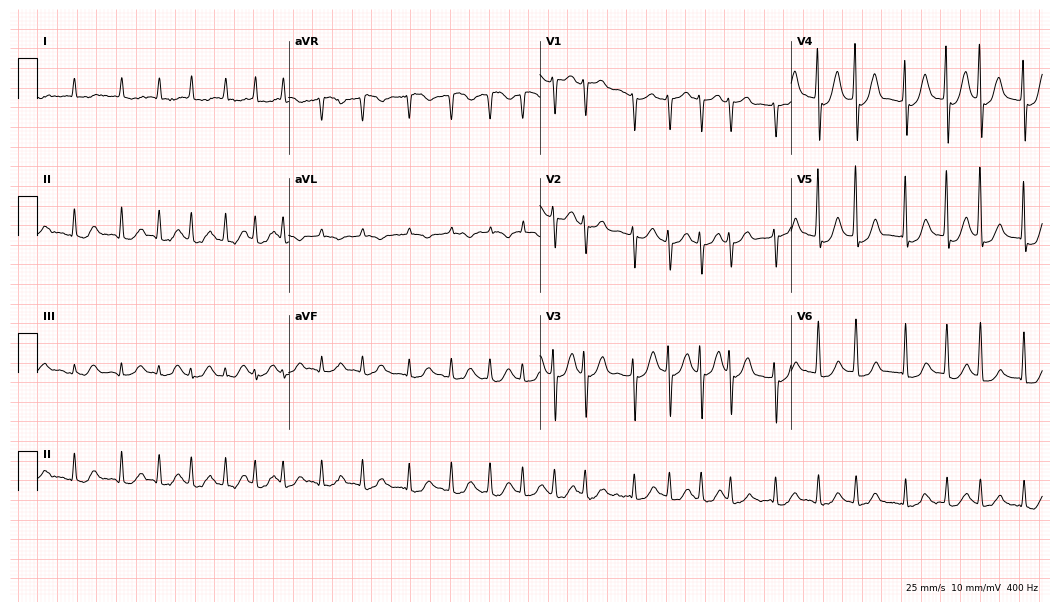
Electrocardiogram, a 77-year-old woman. Interpretation includes atrial fibrillation (AF).